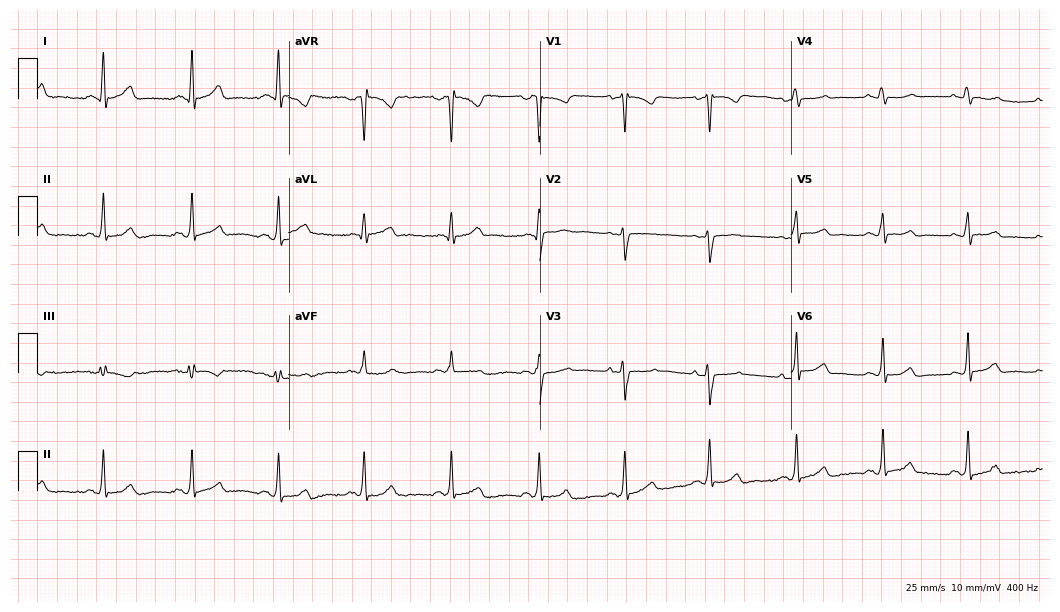
ECG (10.2-second recording at 400 Hz) — a 40-year-old female. Screened for six findings — first-degree AV block, right bundle branch block, left bundle branch block, sinus bradycardia, atrial fibrillation, sinus tachycardia — none is recorded.